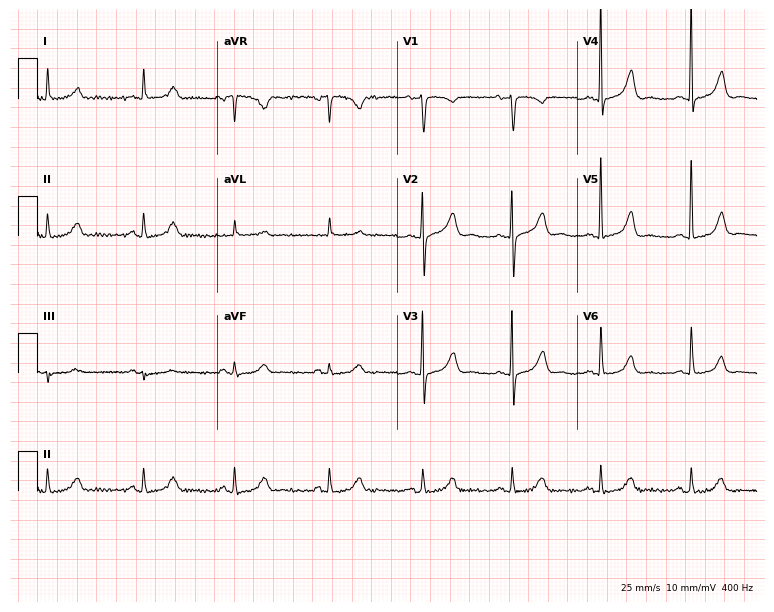
Electrocardiogram, a woman, 67 years old. Of the six screened findings (first-degree AV block, right bundle branch block, left bundle branch block, sinus bradycardia, atrial fibrillation, sinus tachycardia), none is recorded.